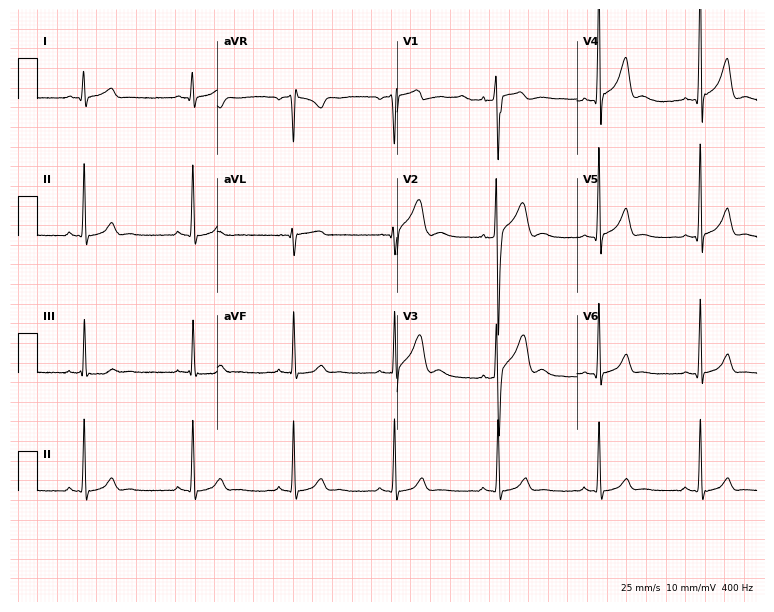
ECG — a 20-year-old male patient. Labelled as a normal ECG.